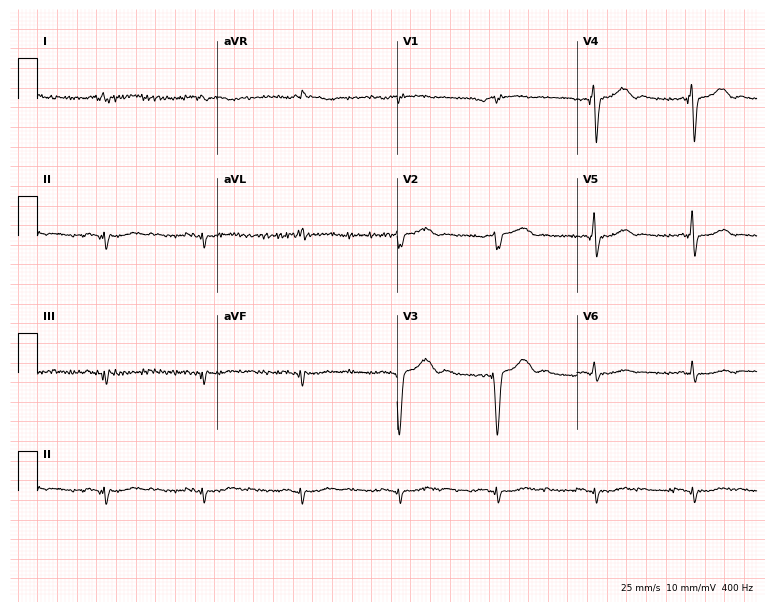
Resting 12-lead electrocardiogram (7.3-second recording at 400 Hz). Patient: a 51-year-old male. None of these six findings is recorded: first-degree AV block, right bundle branch block, left bundle branch block, sinus bradycardia, atrial fibrillation, sinus tachycardia. Findings outside these six are not listed.